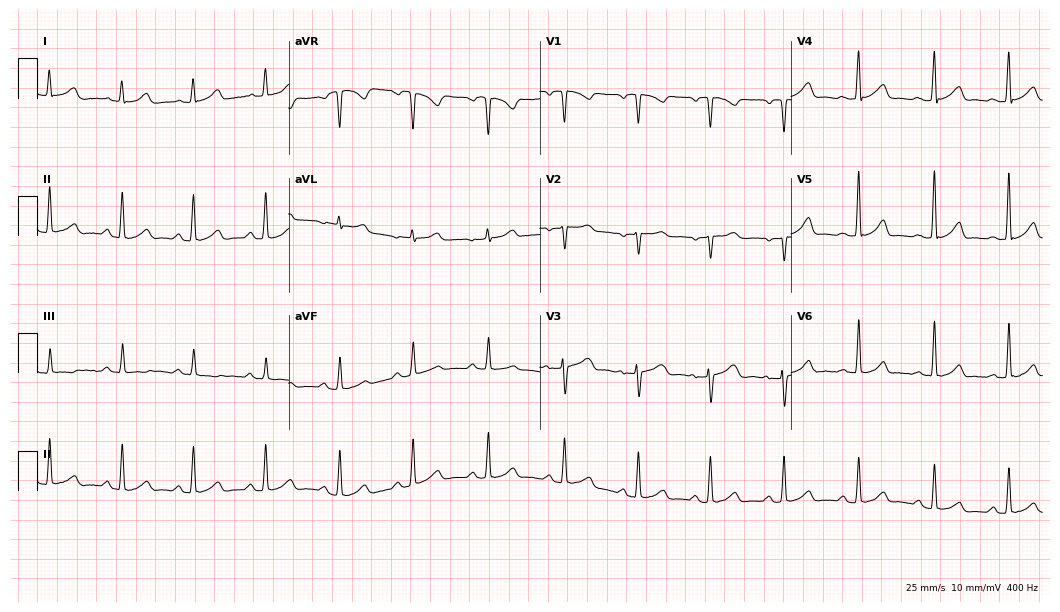
12-lead ECG (10.2-second recording at 400 Hz) from a woman, 27 years old. Screened for six findings — first-degree AV block, right bundle branch block, left bundle branch block, sinus bradycardia, atrial fibrillation, sinus tachycardia — none is recorded.